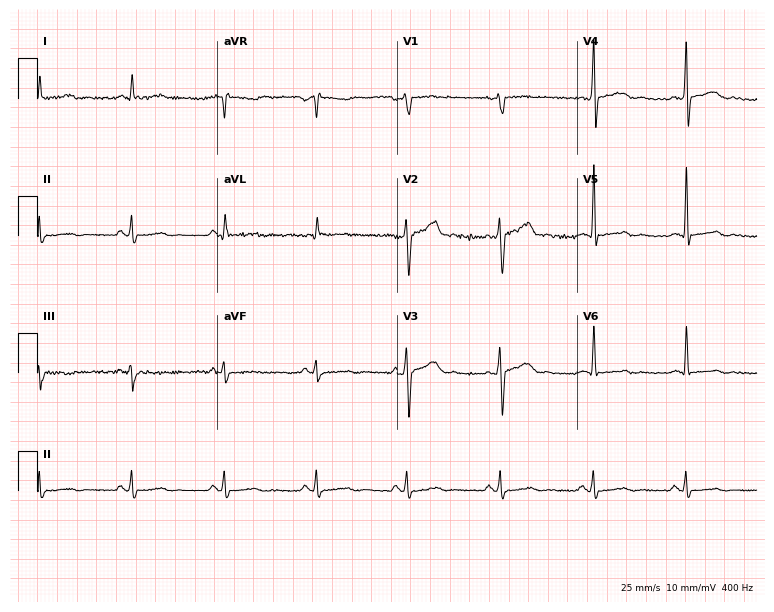
ECG (7.3-second recording at 400 Hz) — a 48-year-old male patient. Screened for six findings — first-degree AV block, right bundle branch block, left bundle branch block, sinus bradycardia, atrial fibrillation, sinus tachycardia — none is recorded.